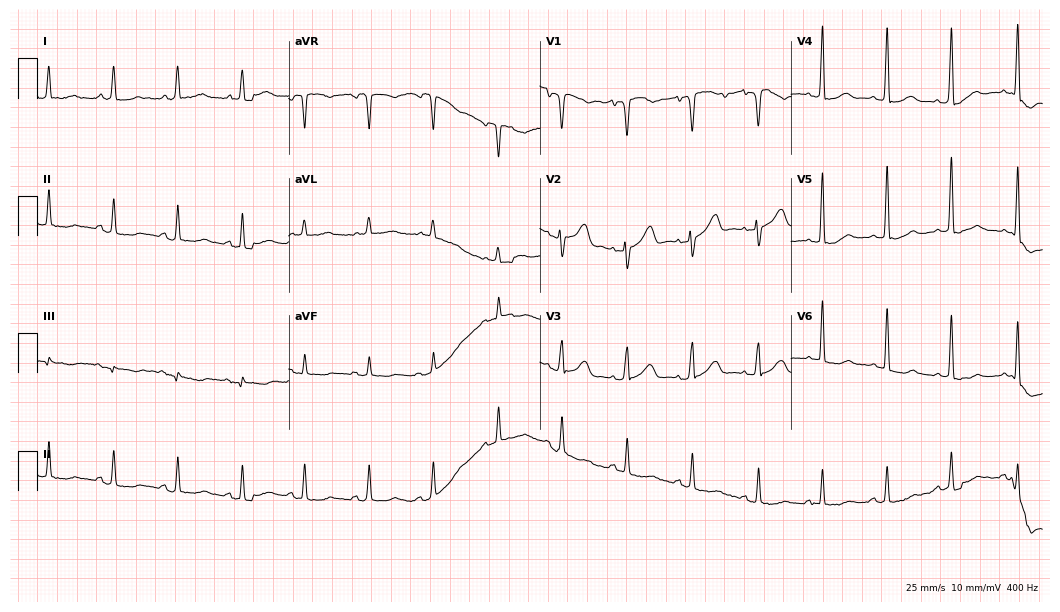
Resting 12-lead electrocardiogram (10.2-second recording at 400 Hz). Patient: a 72-year-old woman. Read as a normal ECG.